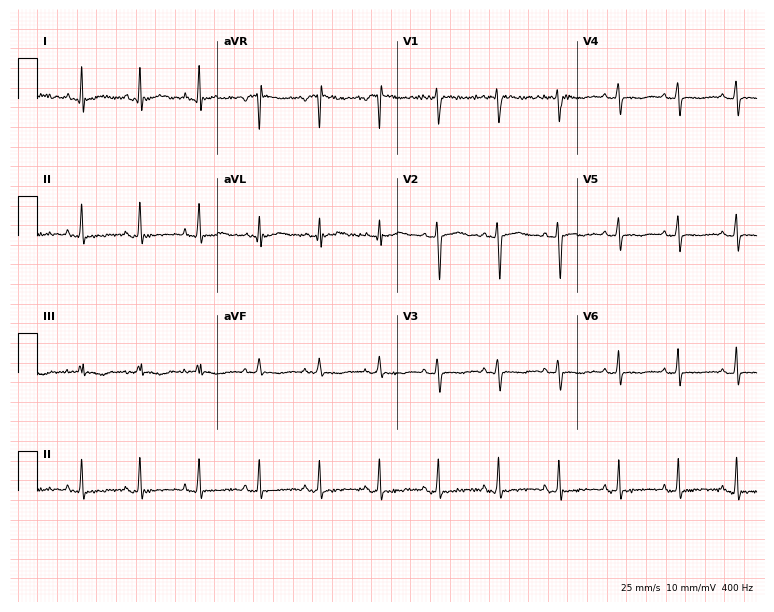
12-lead ECG from a woman, 44 years old. No first-degree AV block, right bundle branch block, left bundle branch block, sinus bradycardia, atrial fibrillation or sinus tachycardia recorded for this tracing. Only these six findings were labelled.